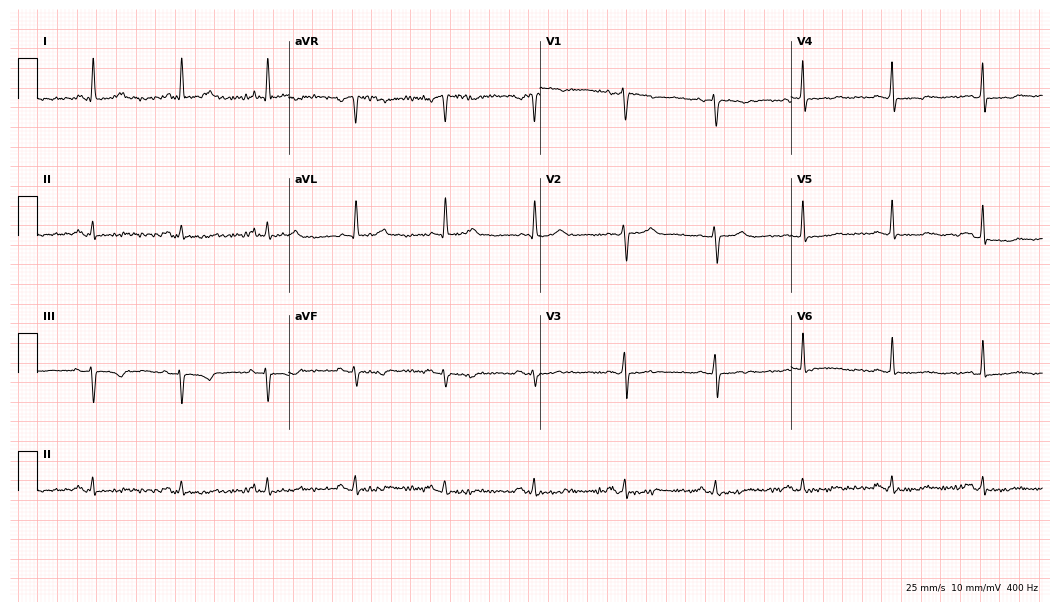
12-lead ECG (10.2-second recording at 400 Hz) from a 71-year-old female. Screened for six findings — first-degree AV block, right bundle branch block, left bundle branch block, sinus bradycardia, atrial fibrillation, sinus tachycardia — none is recorded.